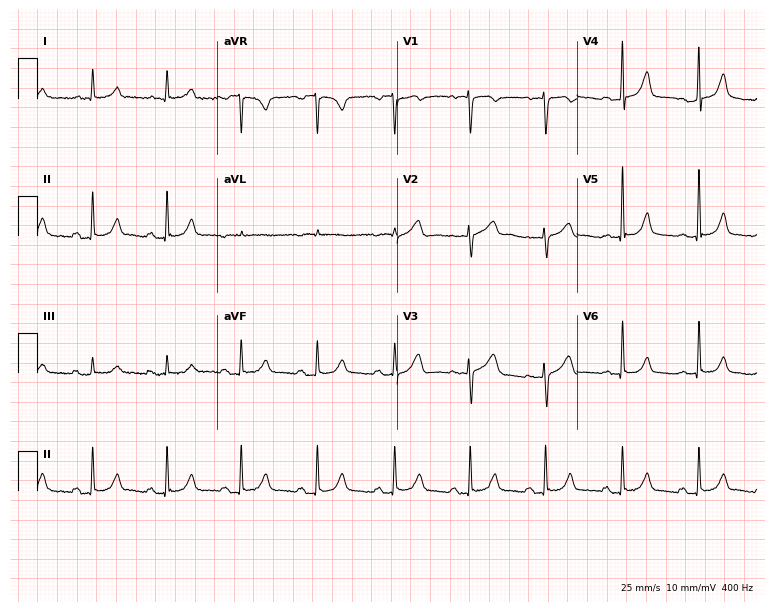
12-lead ECG from a woman, 44 years old. Recorded interpretation: within normal limits.